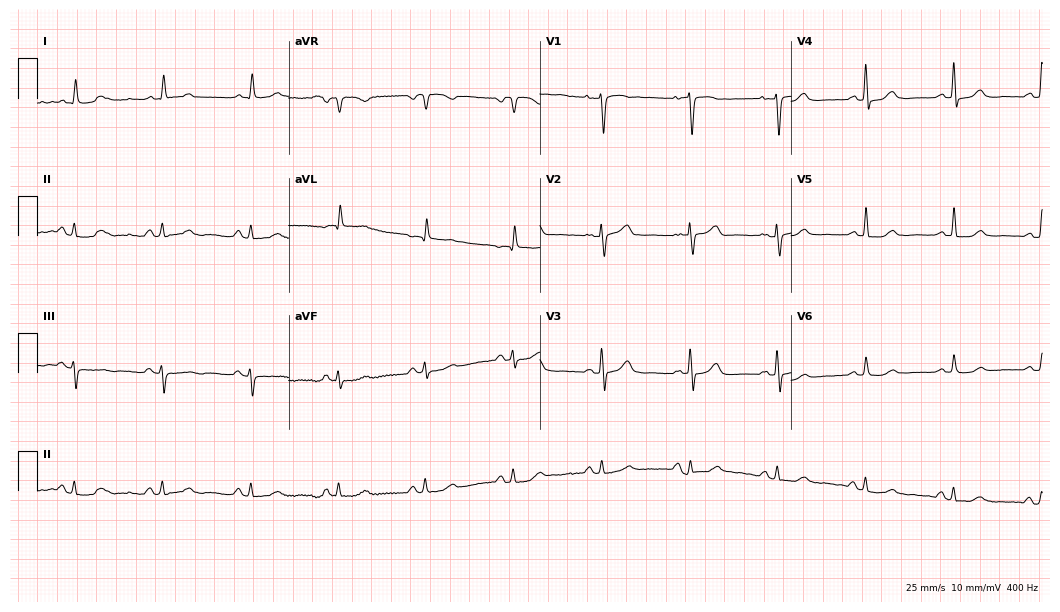
12-lead ECG (10.2-second recording at 400 Hz) from an 80-year-old female. Labelled as a normal ECG.